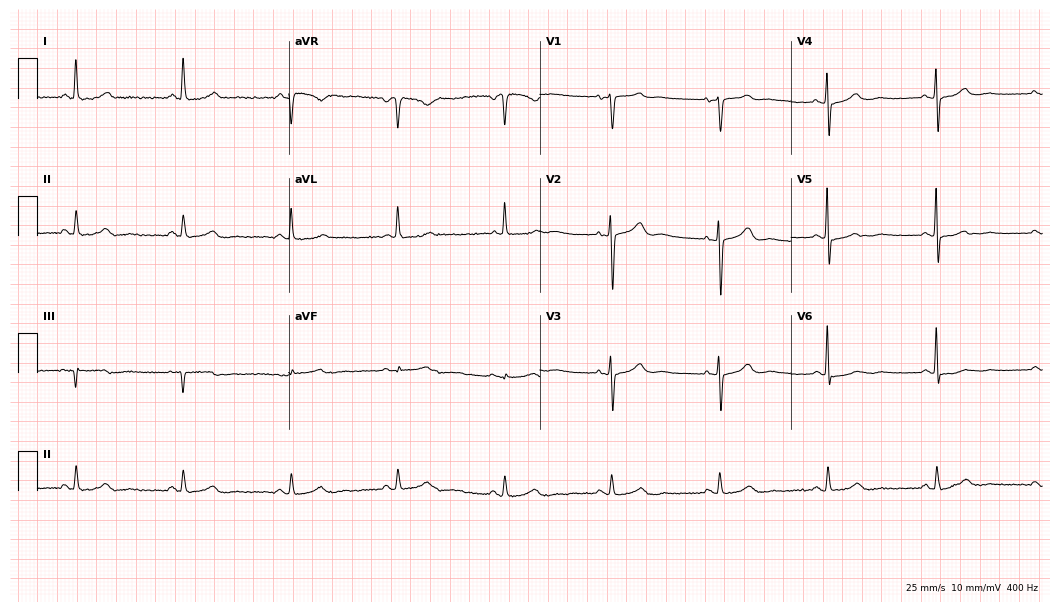
ECG (10.2-second recording at 400 Hz) — a female patient, 75 years old. Screened for six findings — first-degree AV block, right bundle branch block (RBBB), left bundle branch block (LBBB), sinus bradycardia, atrial fibrillation (AF), sinus tachycardia — none is recorded. Only these six findings were labelled.